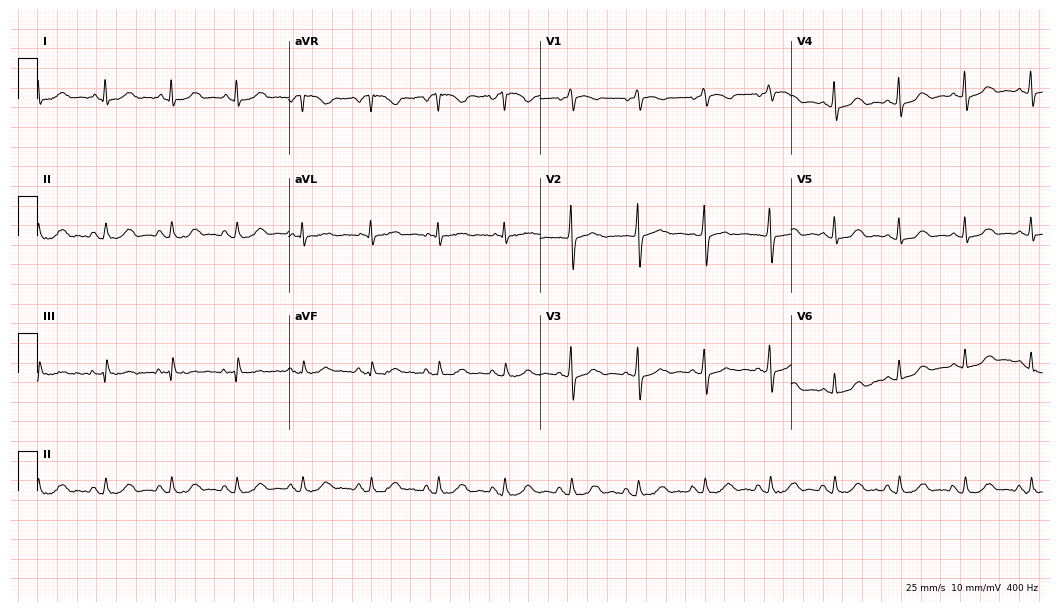
Resting 12-lead electrocardiogram (10.2-second recording at 400 Hz). Patient: a female, 83 years old. None of these six findings is recorded: first-degree AV block, right bundle branch block, left bundle branch block, sinus bradycardia, atrial fibrillation, sinus tachycardia.